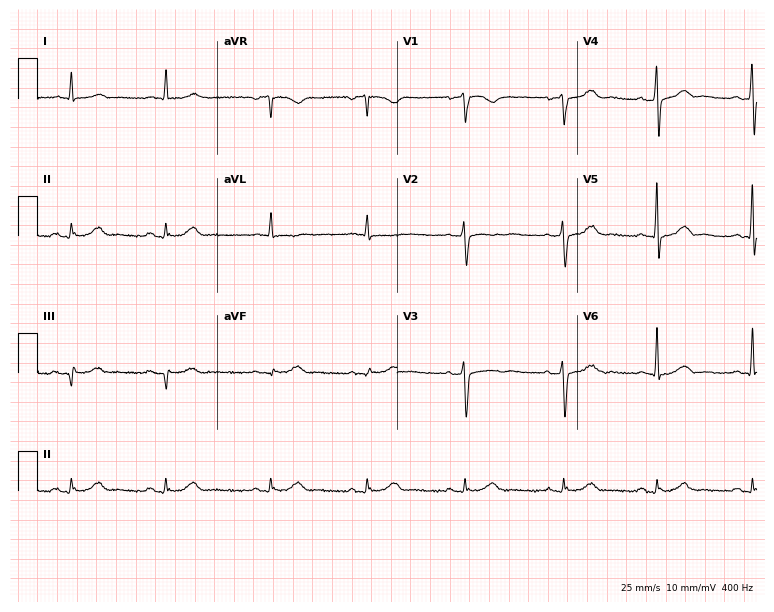
Standard 12-lead ECG recorded from a 69-year-old man. None of these six findings is recorded: first-degree AV block, right bundle branch block (RBBB), left bundle branch block (LBBB), sinus bradycardia, atrial fibrillation (AF), sinus tachycardia. Other findings, if any, are not listed.